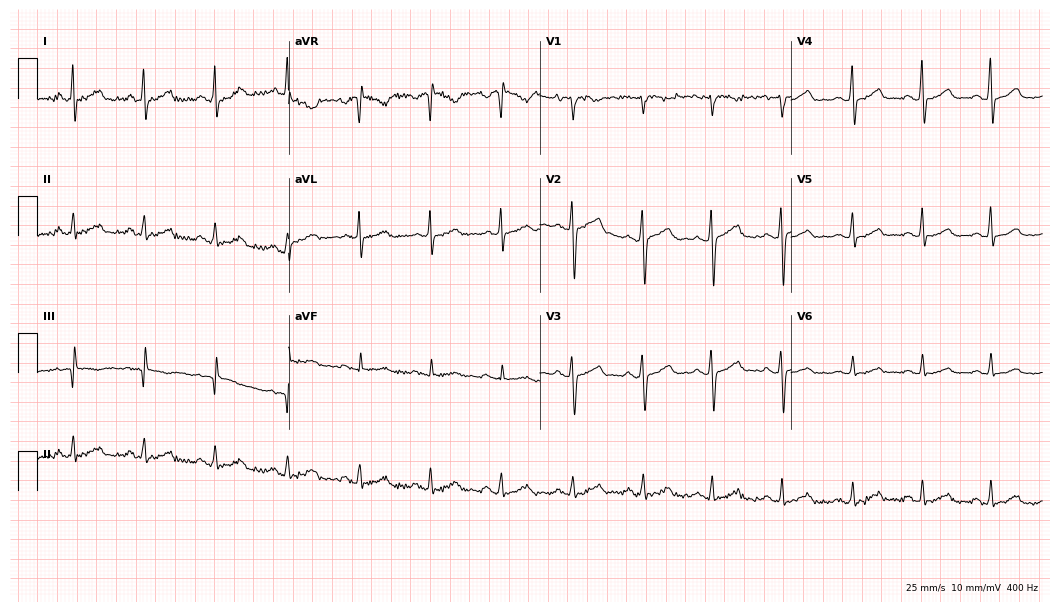
12-lead ECG (10.2-second recording at 400 Hz) from a woman, 45 years old. Labelled as a normal ECG.